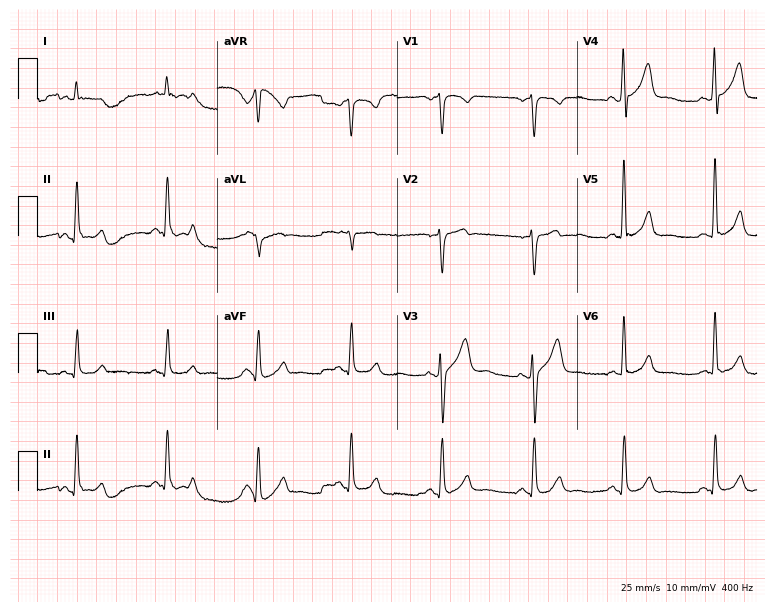
ECG — a male, 55 years old. Screened for six findings — first-degree AV block, right bundle branch block (RBBB), left bundle branch block (LBBB), sinus bradycardia, atrial fibrillation (AF), sinus tachycardia — none is recorded. Findings outside these six are not listed.